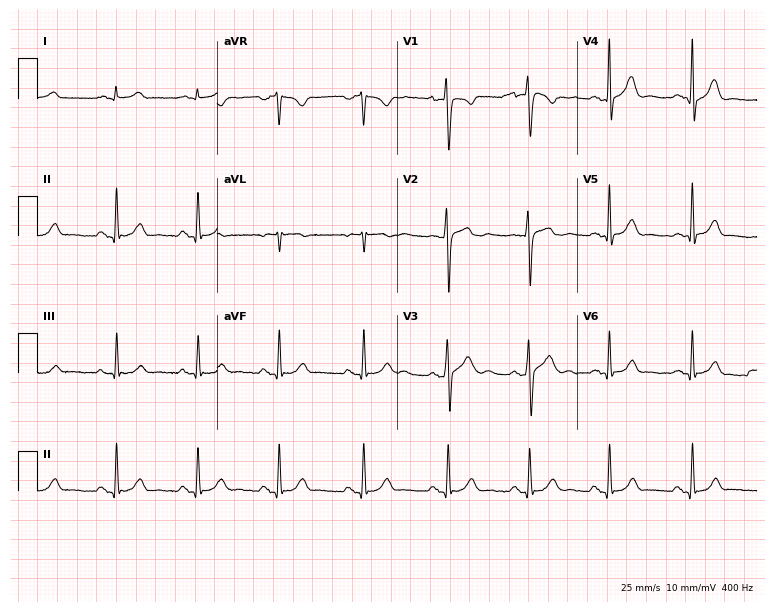
Resting 12-lead electrocardiogram. Patient: a 27-year-old male. Read as a normal ECG.